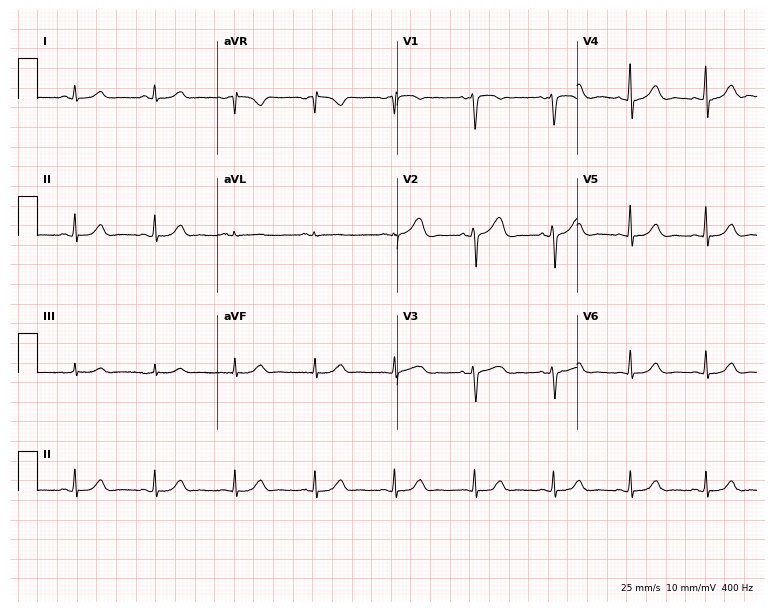
12-lead ECG (7.3-second recording at 400 Hz) from a 58-year-old female patient. Labelled as a normal ECG.